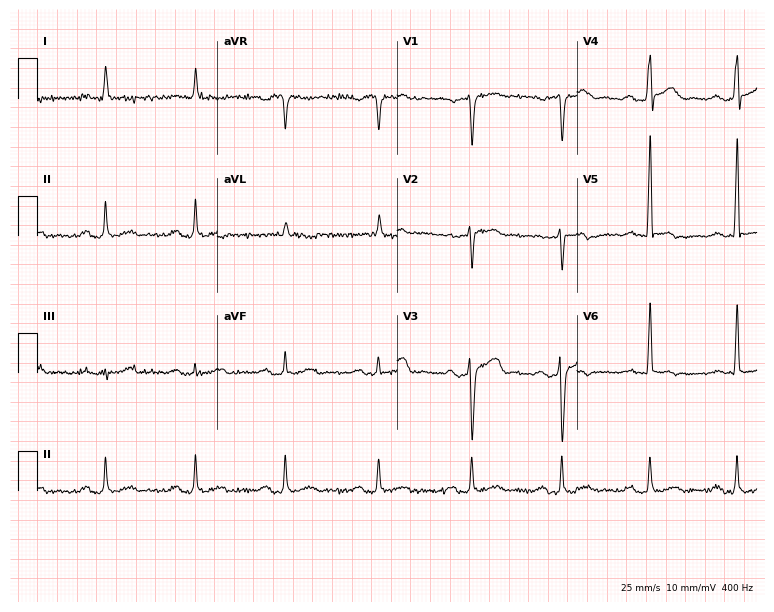
Standard 12-lead ECG recorded from a man, 49 years old. None of these six findings is recorded: first-degree AV block, right bundle branch block, left bundle branch block, sinus bradycardia, atrial fibrillation, sinus tachycardia.